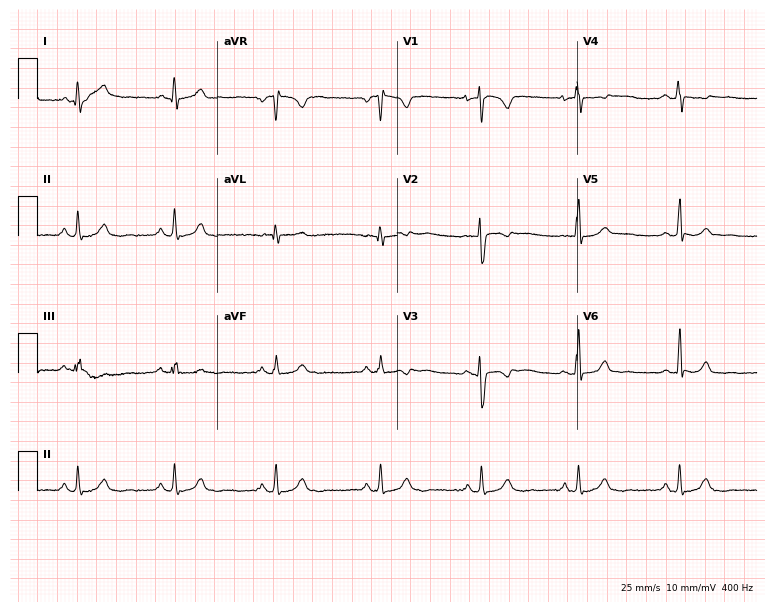
ECG (7.3-second recording at 400 Hz) — a woman, 38 years old. Screened for six findings — first-degree AV block, right bundle branch block, left bundle branch block, sinus bradycardia, atrial fibrillation, sinus tachycardia — none is recorded.